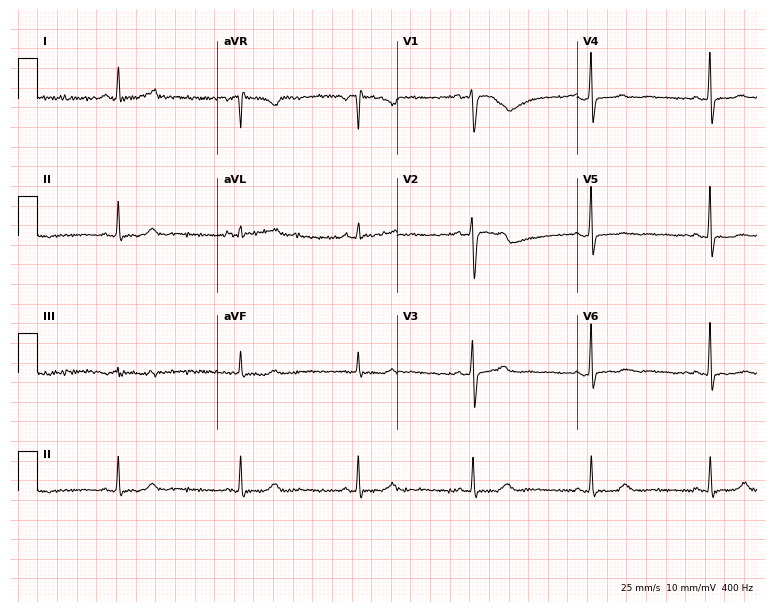
12-lead ECG from a 35-year-old female. Shows sinus bradycardia (a sinus rate of 50 beats per minute or less).